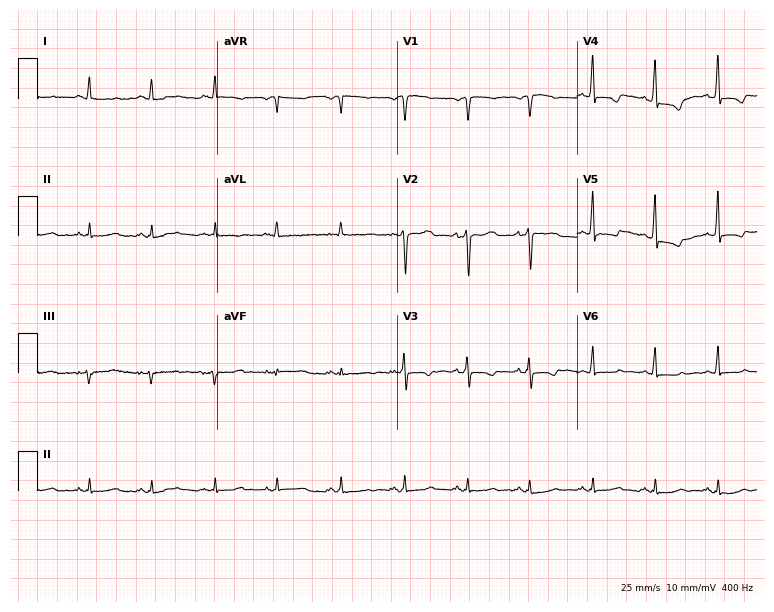
Standard 12-lead ECG recorded from a woman, 40 years old (7.3-second recording at 400 Hz). None of these six findings is recorded: first-degree AV block, right bundle branch block (RBBB), left bundle branch block (LBBB), sinus bradycardia, atrial fibrillation (AF), sinus tachycardia.